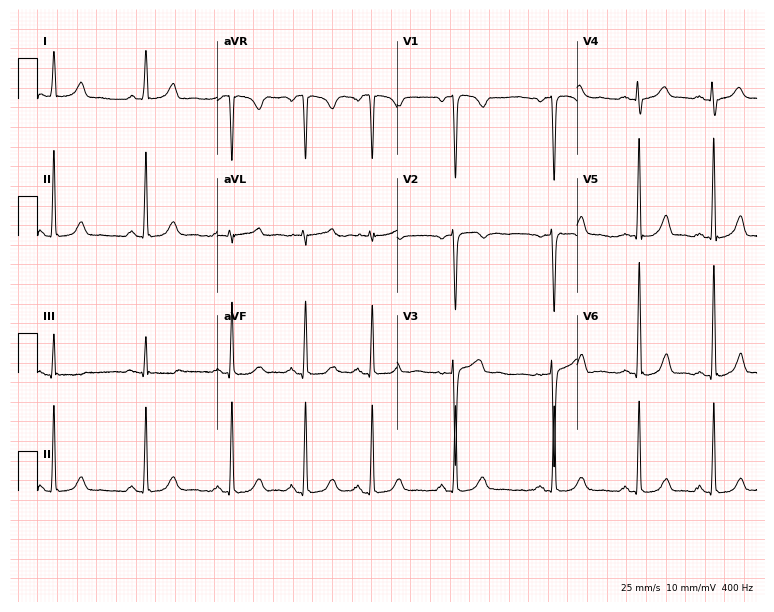
Electrocardiogram, a female, 39 years old. Of the six screened findings (first-degree AV block, right bundle branch block, left bundle branch block, sinus bradycardia, atrial fibrillation, sinus tachycardia), none is recorded.